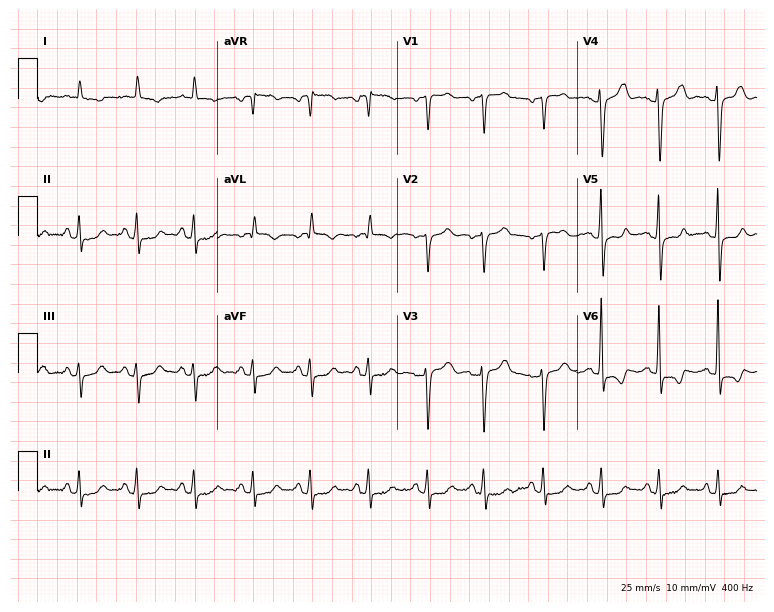
12-lead ECG from an 84-year-old woman. Shows sinus tachycardia (a sinus rate of 100 beats per minute or more).